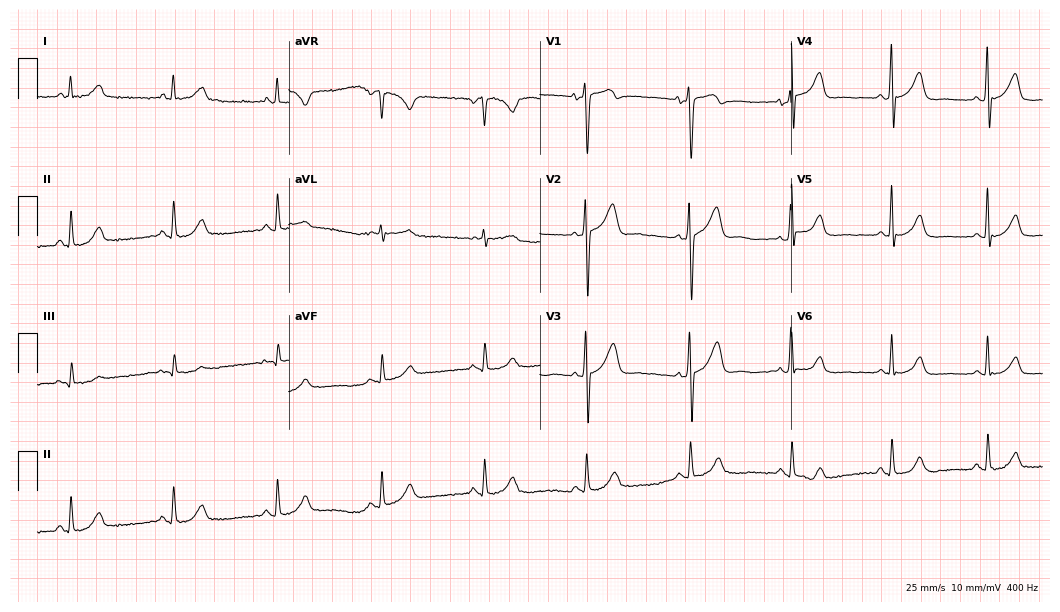
ECG — a 75-year-old male patient. Labelled as a normal ECG.